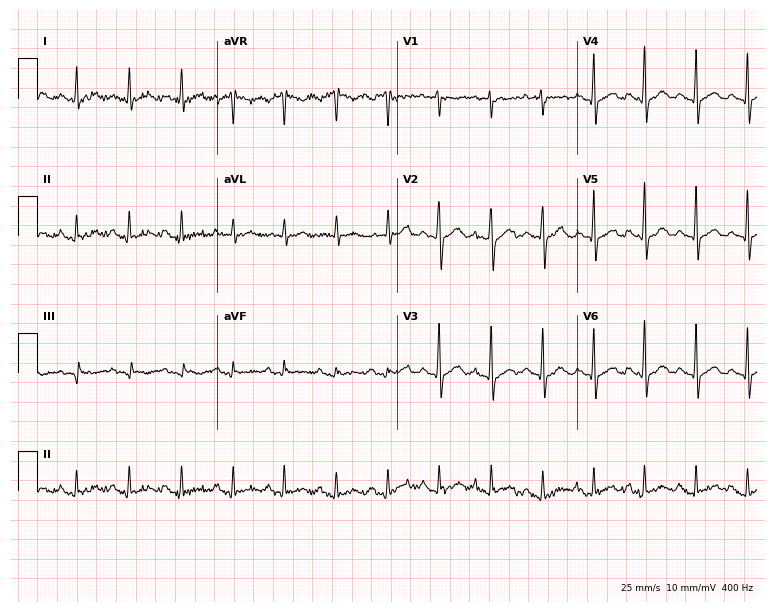
Standard 12-lead ECG recorded from a 72-year-old male (7.3-second recording at 400 Hz). The tracing shows sinus tachycardia (a sinus rate of 100 beats per minute or more).